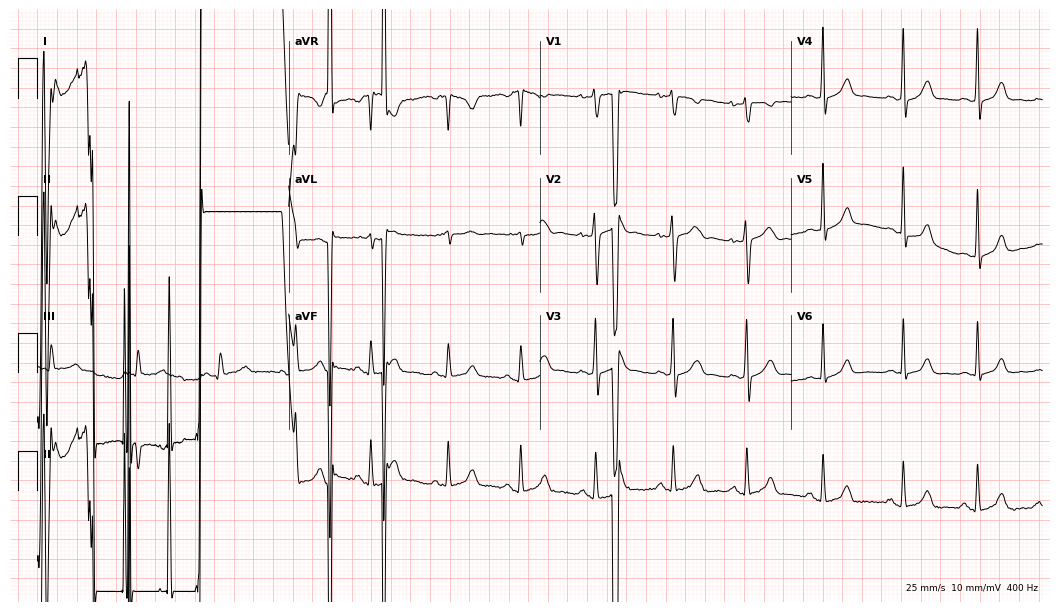
12-lead ECG (10.2-second recording at 400 Hz) from a 19-year-old female patient. Screened for six findings — first-degree AV block, right bundle branch block, left bundle branch block, sinus bradycardia, atrial fibrillation, sinus tachycardia — none is recorded. Only these six findings were labelled.